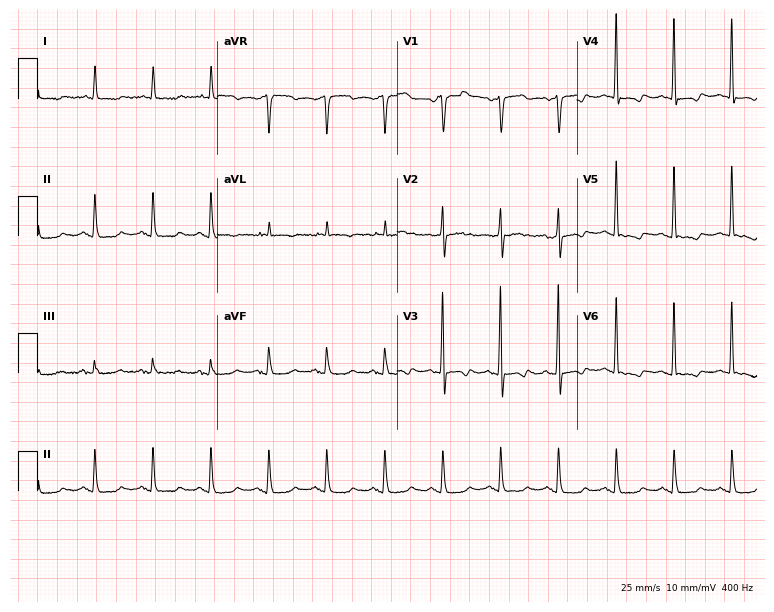
Electrocardiogram, an 80-year-old female. Interpretation includes sinus tachycardia (a sinus rate of 100 beats per minute or more).